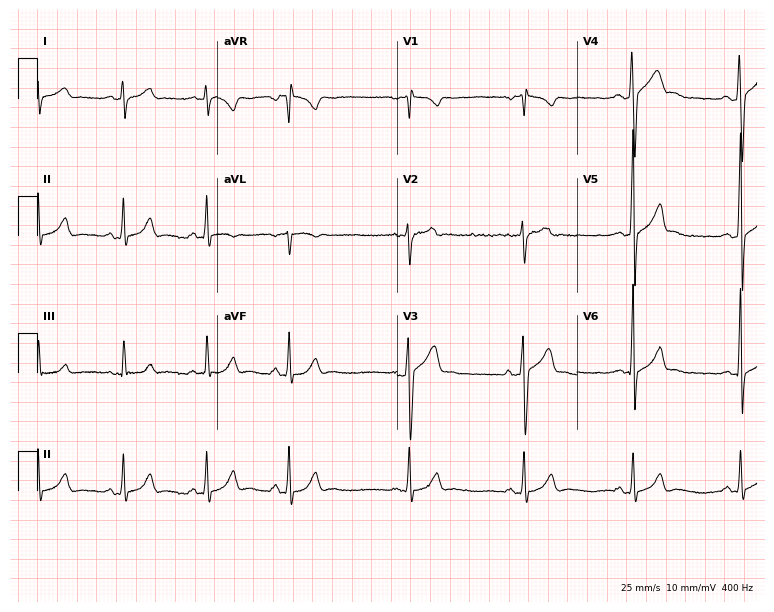
Electrocardiogram, a man, 26 years old. Overall reading on record: normal ECG.